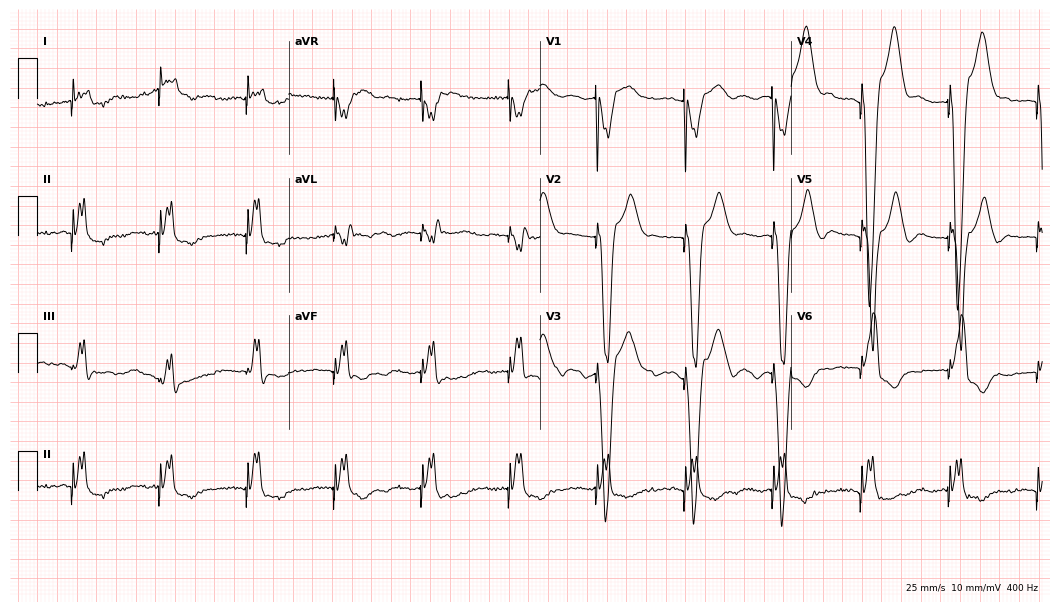
12-lead ECG from a 75-year-old female. No first-degree AV block, right bundle branch block (RBBB), left bundle branch block (LBBB), sinus bradycardia, atrial fibrillation (AF) or sinus tachycardia recorded for this tracing.